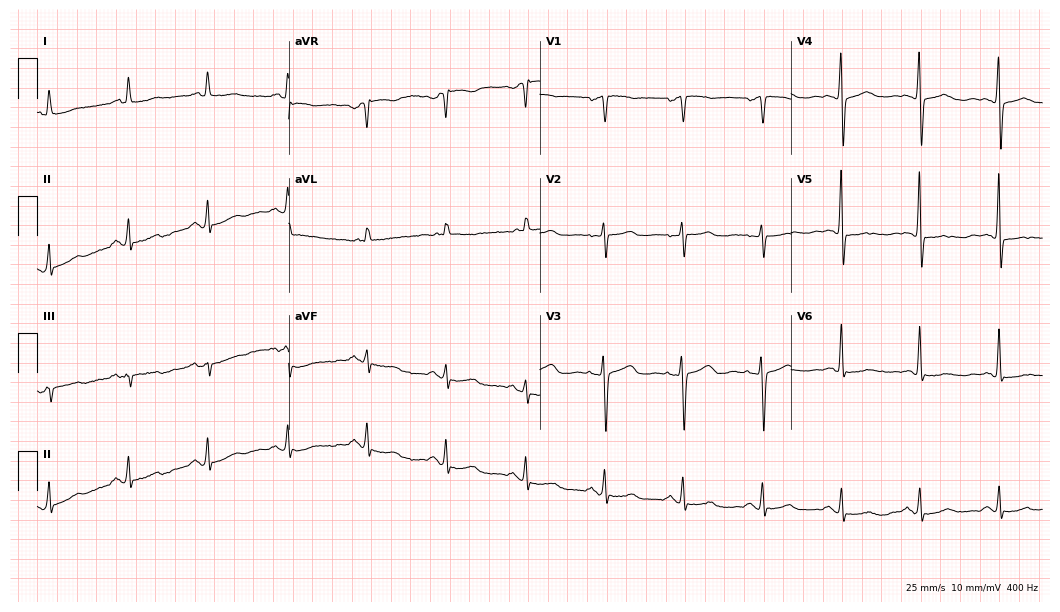
Electrocardiogram (10.2-second recording at 400 Hz), a female, 63 years old. Of the six screened findings (first-degree AV block, right bundle branch block, left bundle branch block, sinus bradycardia, atrial fibrillation, sinus tachycardia), none is recorded. Only these six findings were labelled.